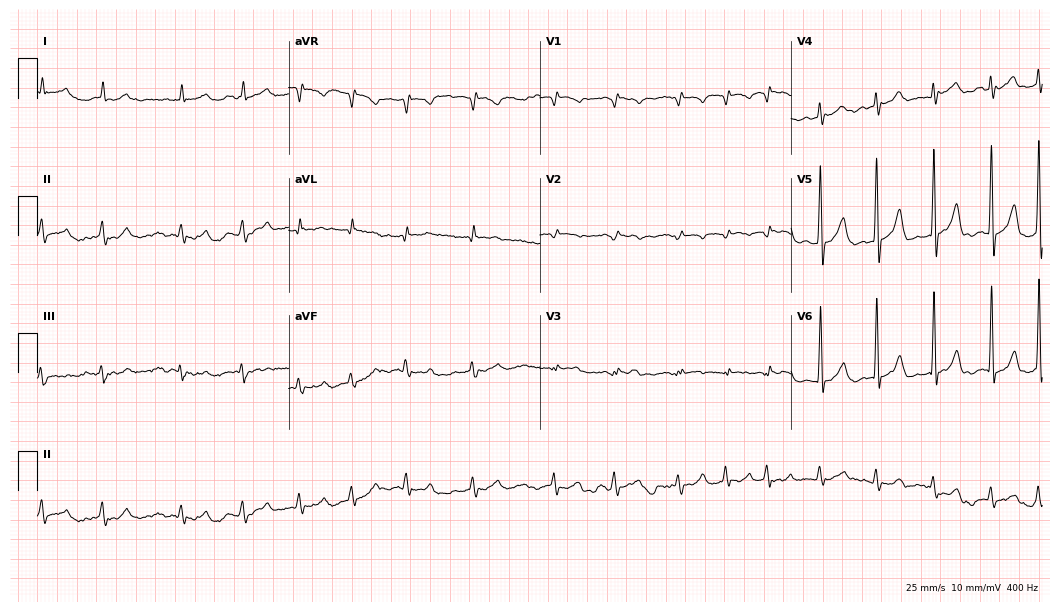
Electrocardiogram (10.2-second recording at 400 Hz), a 76-year-old male patient. Interpretation includes atrial fibrillation (AF).